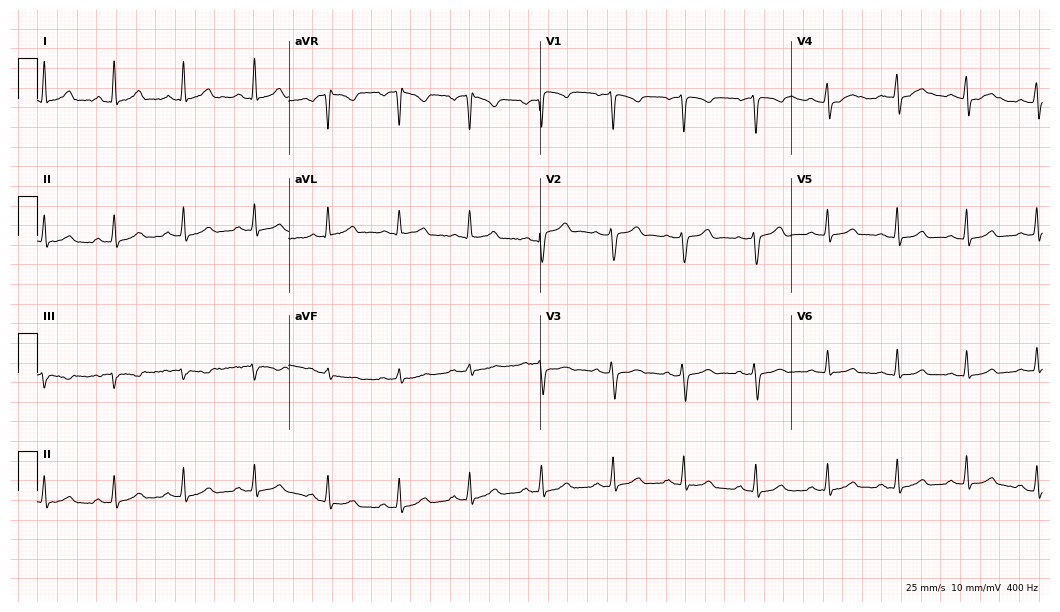
Electrocardiogram (10.2-second recording at 400 Hz), a woman, 38 years old. Overall reading on record: normal ECG.